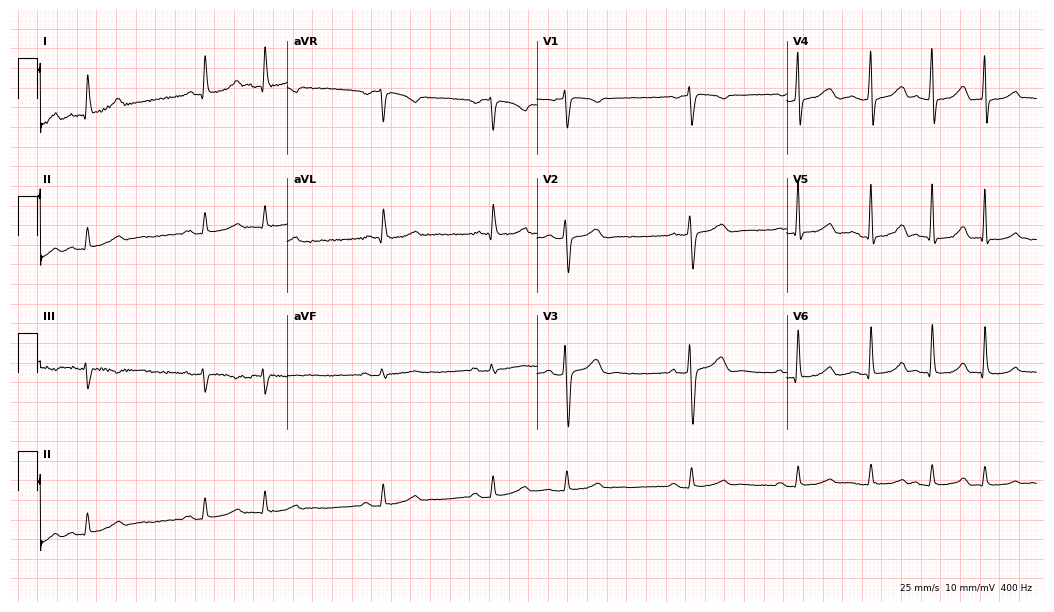
Electrocardiogram, a female, 56 years old. Overall reading on record: normal ECG.